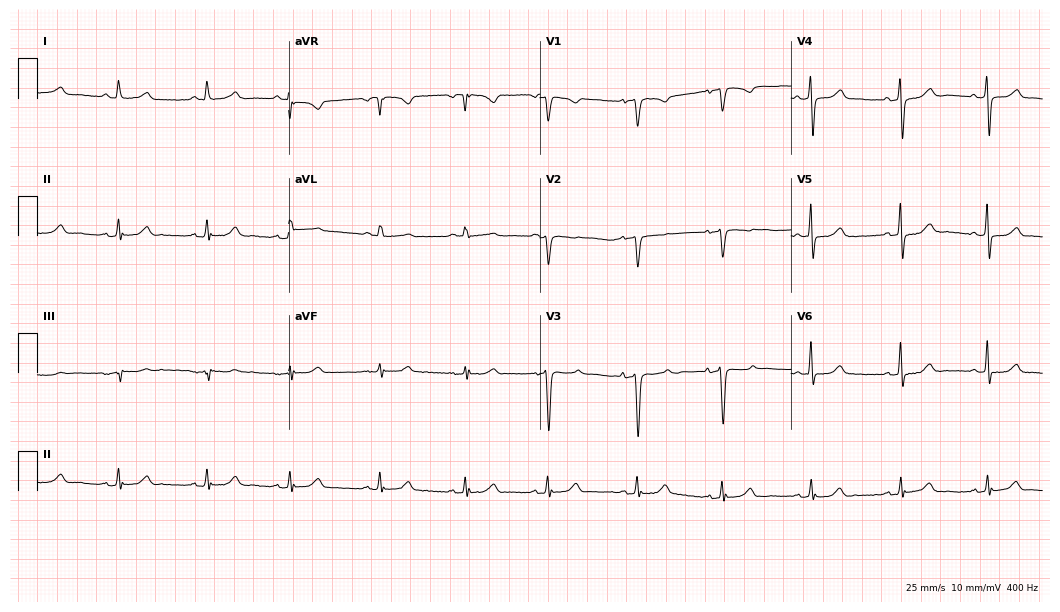
12-lead ECG (10.2-second recording at 400 Hz) from a woman, 64 years old. Screened for six findings — first-degree AV block, right bundle branch block, left bundle branch block, sinus bradycardia, atrial fibrillation, sinus tachycardia — none is recorded. Other findings, if any, are not listed.